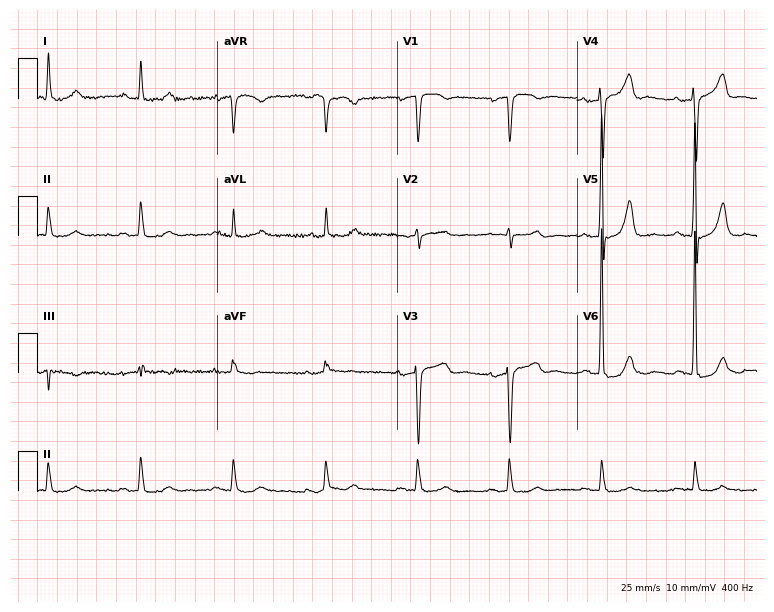
Resting 12-lead electrocardiogram (7.3-second recording at 400 Hz). Patient: an 81-year-old man. Read as a normal ECG.